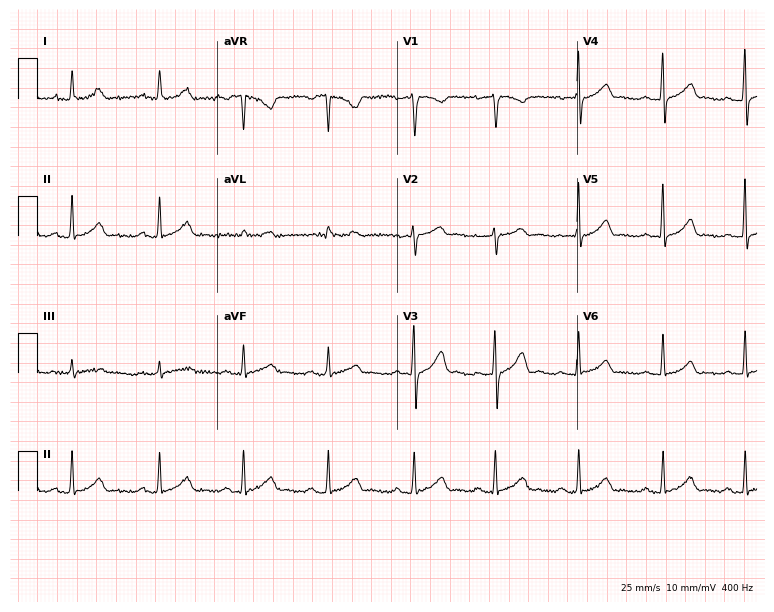
Standard 12-lead ECG recorded from a 45-year-old female patient. Read as a normal ECG.